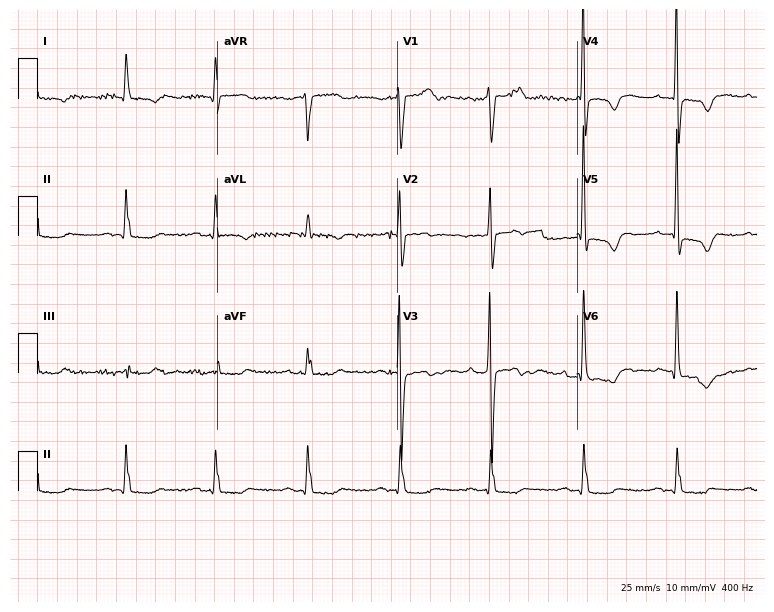
Standard 12-lead ECG recorded from a male patient, 77 years old (7.3-second recording at 400 Hz). None of these six findings is recorded: first-degree AV block, right bundle branch block (RBBB), left bundle branch block (LBBB), sinus bradycardia, atrial fibrillation (AF), sinus tachycardia.